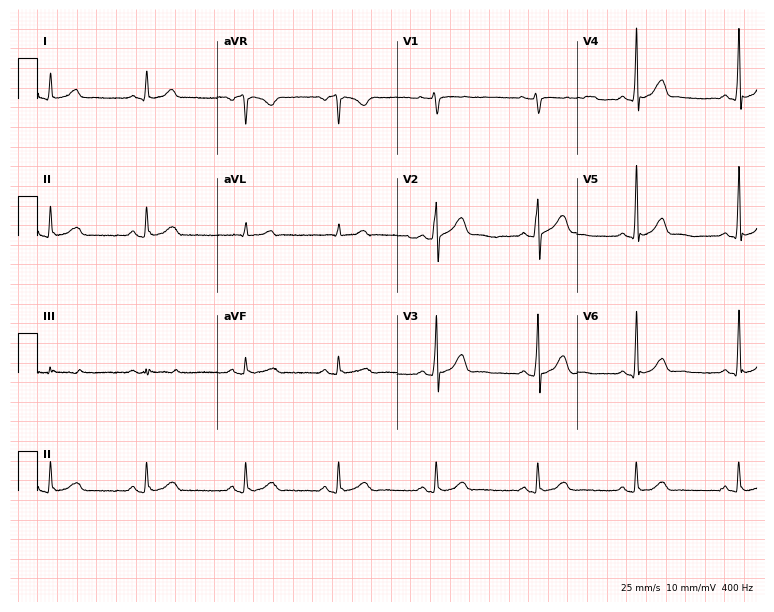
Resting 12-lead electrocardiogram (7.3-second recording at 400 Hz). Patient: a male, 32 years old. Read as a normal ECG.